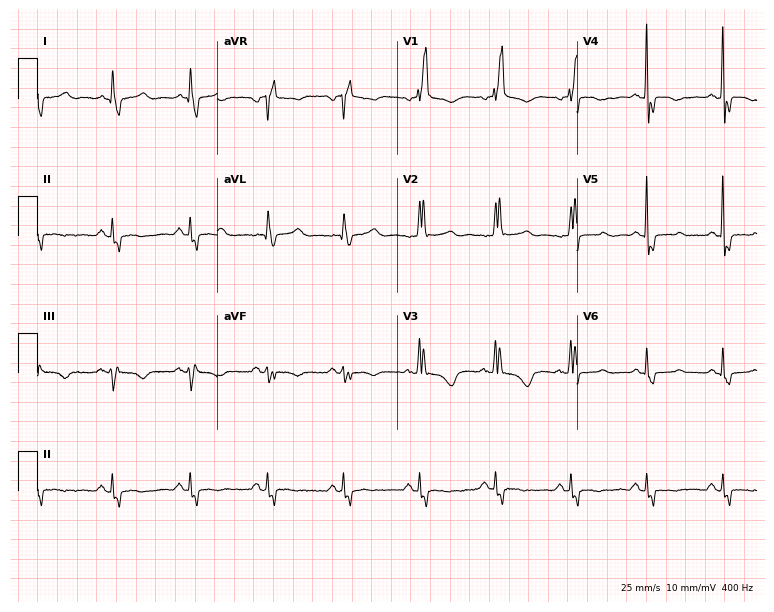
12-lead ECG (7.3-second recording at 400 Hz) from a female patient, 72 years old. Findings include right bundle branch block (RBBB).